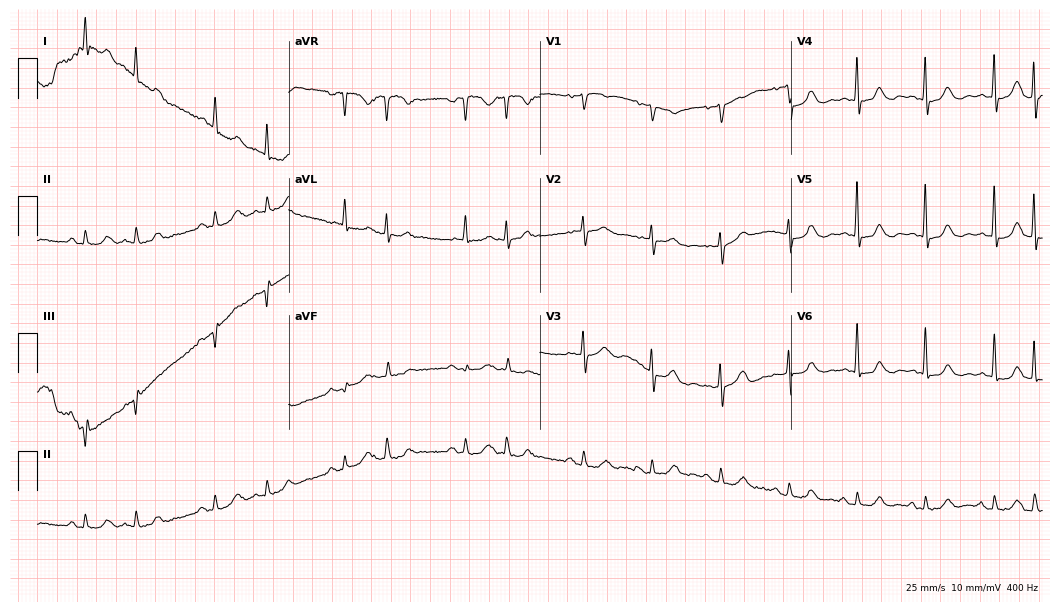
Electrocardiogram (10.2-second recording at 400 Hz), a 77-year-old woman. Of the six screened findings (first-degree AV block, right bundle branch block (RBBB), left bundle branch block (LBBB), sinus bradycardia, atrial fibrillation (AF), sinus tachycardia), none is recorded.